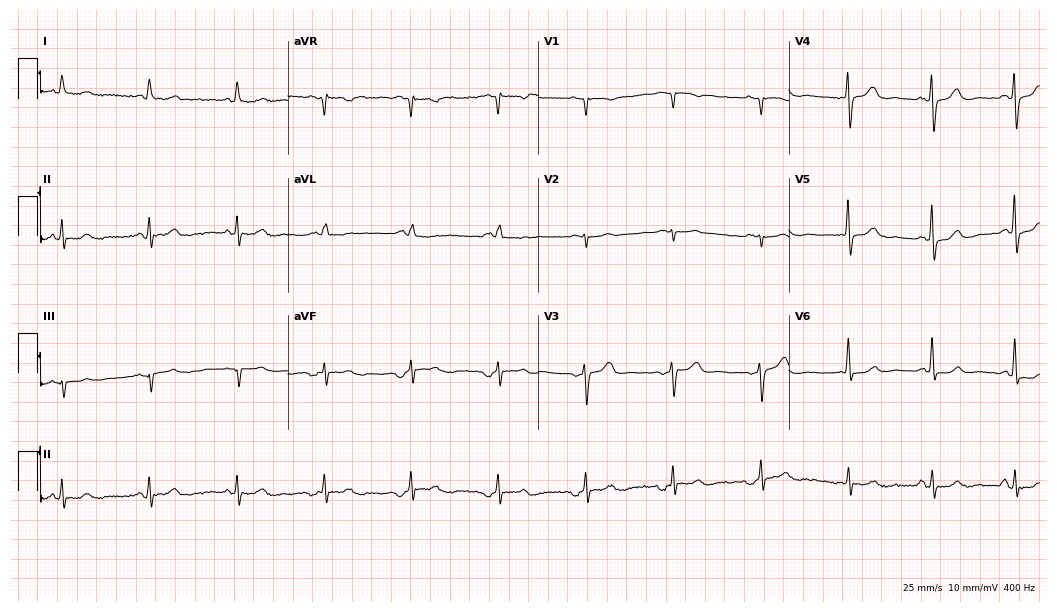
12-lead ECG from an 84-year-old woman (10.2-second recording at 400 Hz). Recorded interpretation: within normal limits.